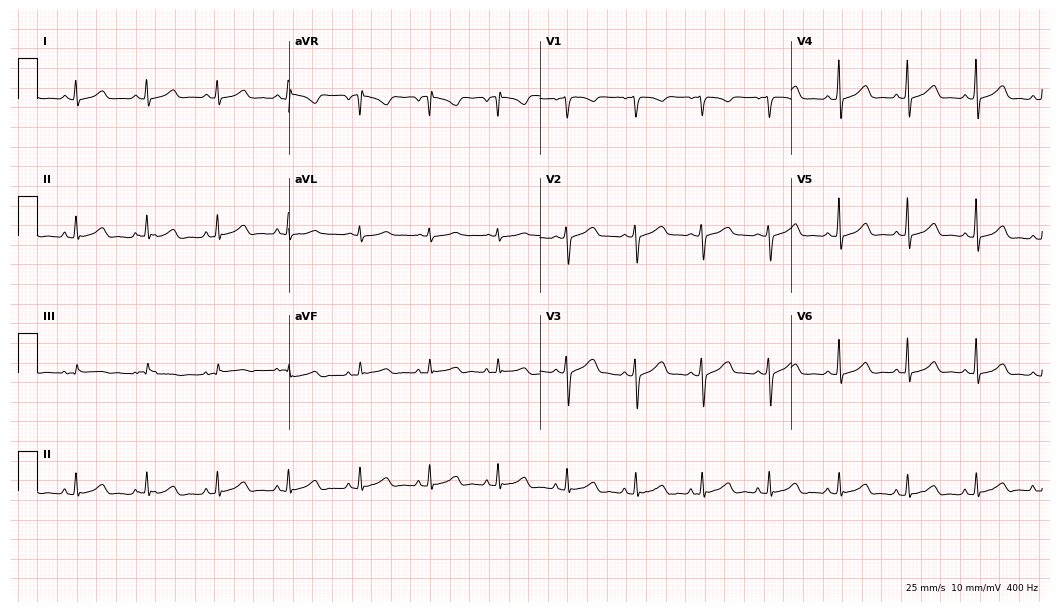
12-lead ECG from a female patient, 33 years old. Recorded interpretation: within normal limits.